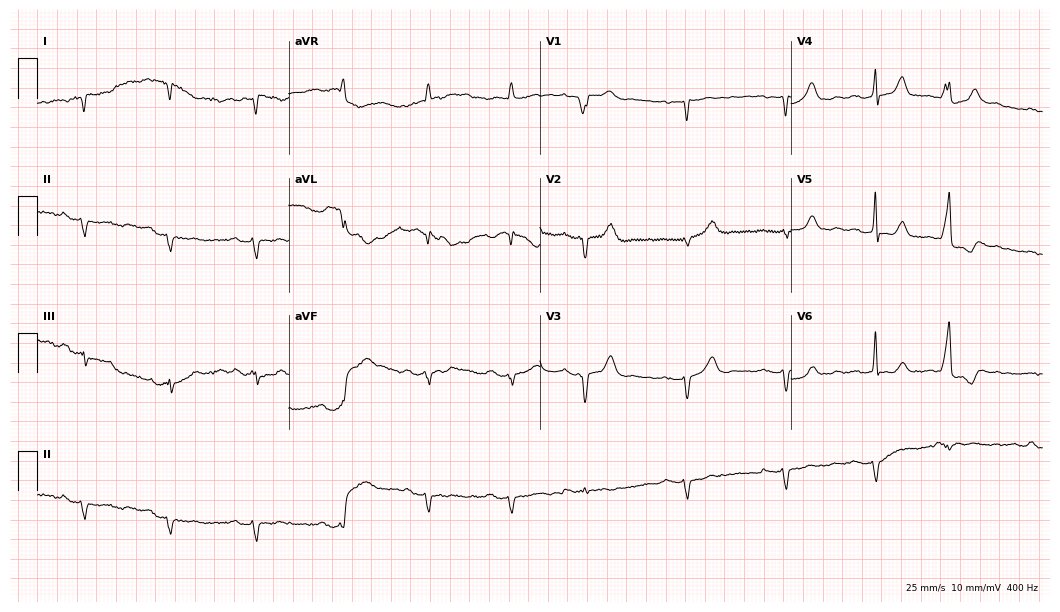
ECG (10.2-second recording at 400 Hz) — an 81-year-old male. Screened for six findings — first-degree AV block, right bundle branch block (RBBB), left bundle branch block (LBBB), sinus bradycardia, atrial fibrillation (AF), sinus tachycardia — none is recorded.